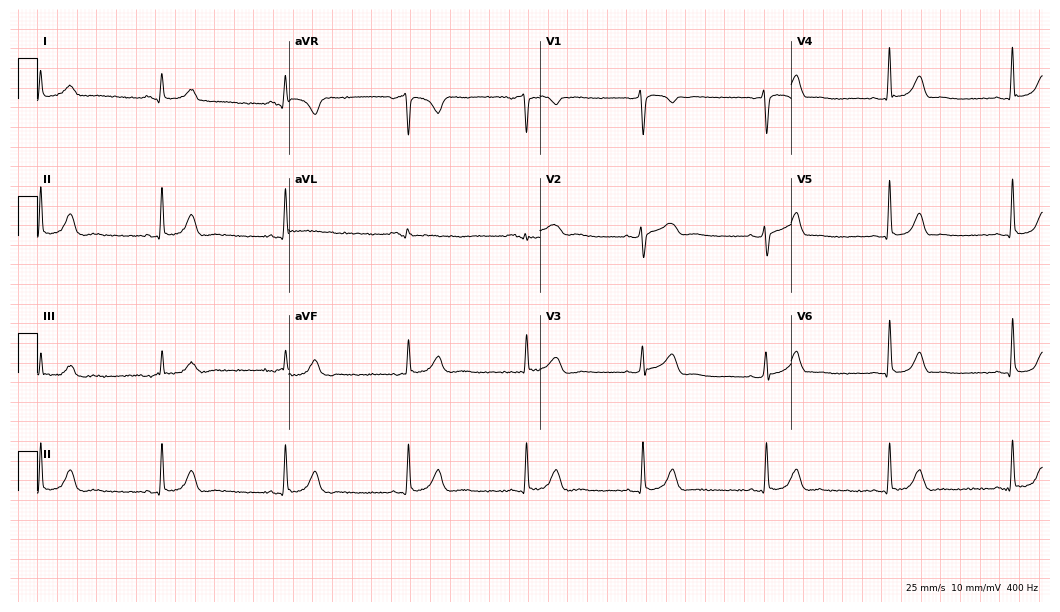
ECG (10.2-second recording at 400 Hz) — a female, 40 years old. Screened for six findings — first-degree AV block, right bundle branch block, left bundle branch block, sinus bradycardia, atrial fibrillation, sinus tachycardia — none is recorded.